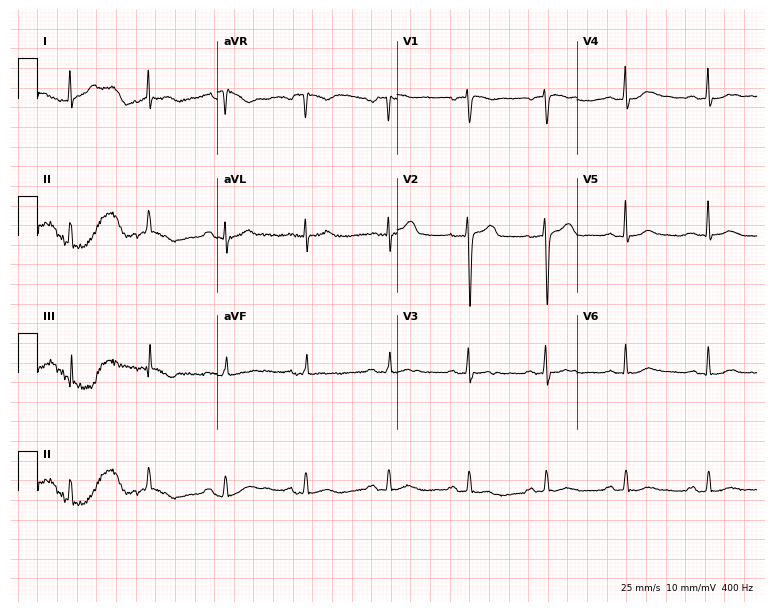
12-lead ECG from a 35-year-old male patient. Screened for six findings — first-degree AV block, right bundle branch block, left bundle branch block, sinus bradycardia, atrial fibrillation, sinus tachycardia — none is recorded. Findings outside these six are not listed.